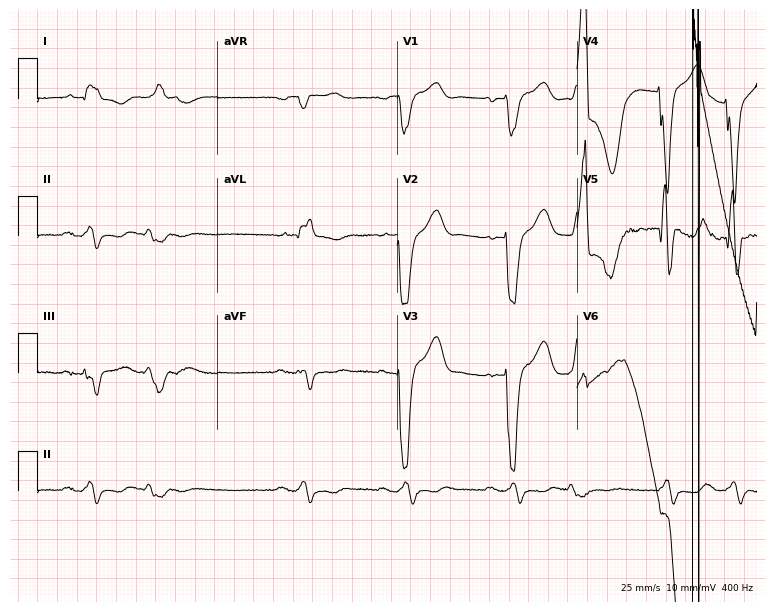
Electrocardiogram, a 51-year-old man. Interpretation includes left bundle branch block.